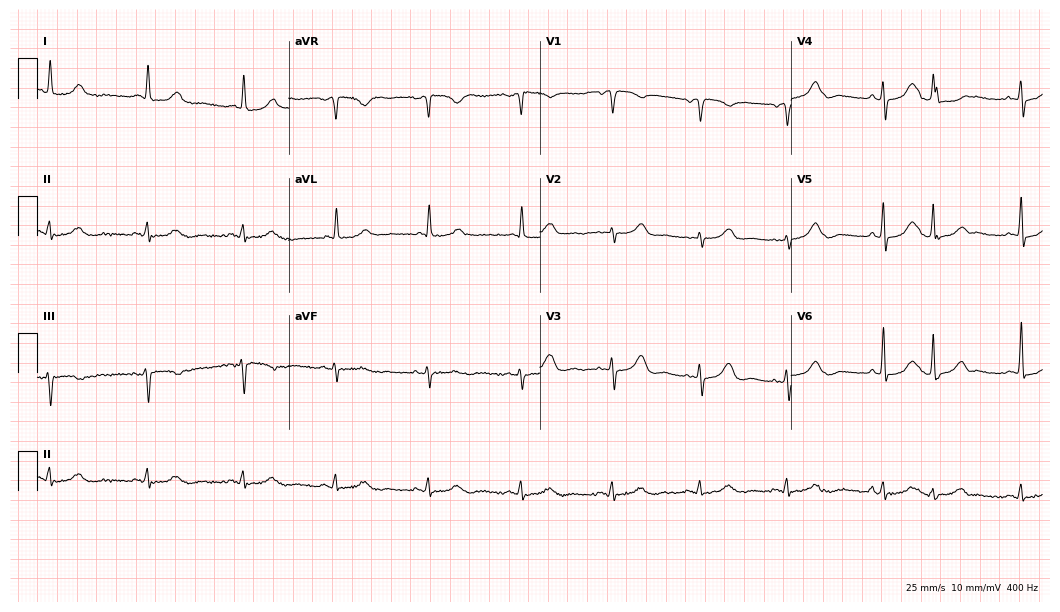
Standard 12-lead ECG recorded from an 84-year-old female (10.2-second recording at 400 Hz). None of these six findings is recorded: first-degree AV block, right bundle branch block, left bundle branch block, sinus bradycardia, atrial fibrillation, sinus tachycardia. Only these six findings were labelled.